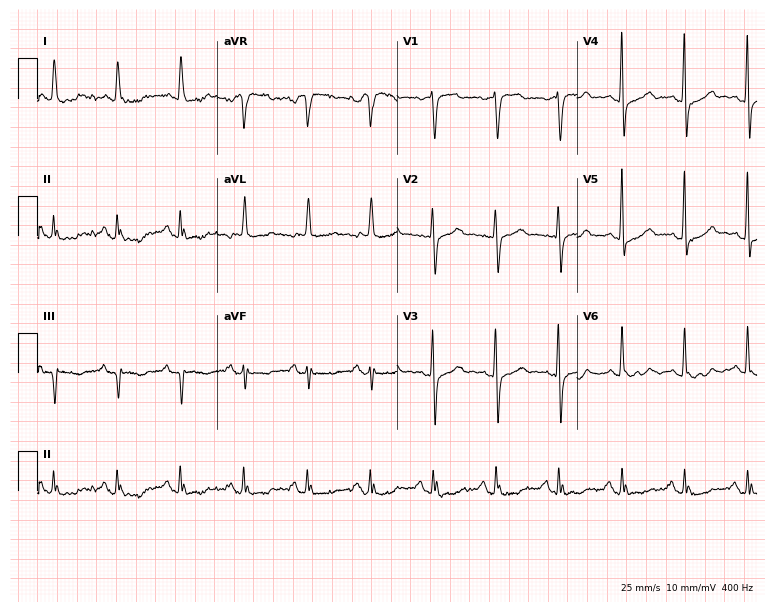
Electrocardiogram (7.3-second recording at 400 Hz), a 66-year-old female patient. Of the six screened findings (first-degree AV block, right bundle branch block, left bundle branch block, sinus bradycardia, atrial fibrillation, sinus tachycardia), none is recorded. Findings outside these six are not listed.